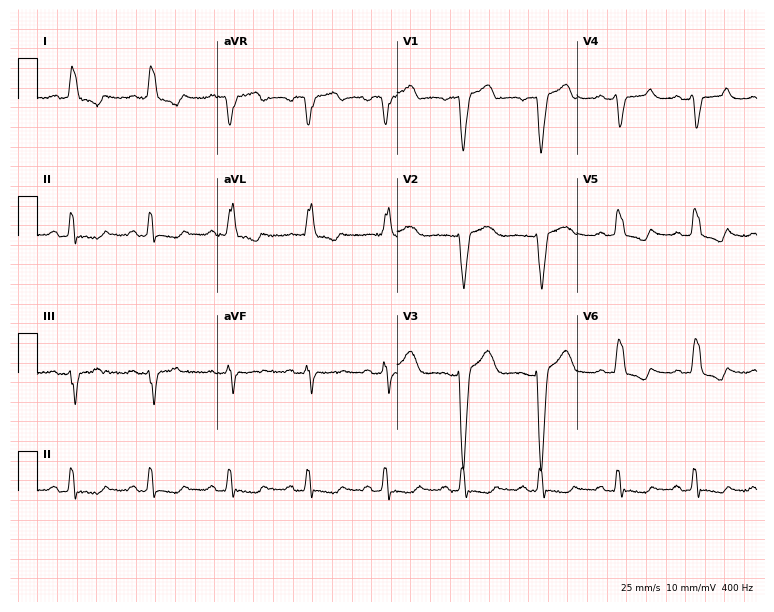
ECG (7.3-second recording at 400 Hz) — a 77-year-old woman. Screened for six findings — first-degree AV block, right bundle branch block (RBBB), left bundle branch block (LBBB), sinus bradycardia, atrial fibrillation (AF), sinus tachycardia — none is recorded.